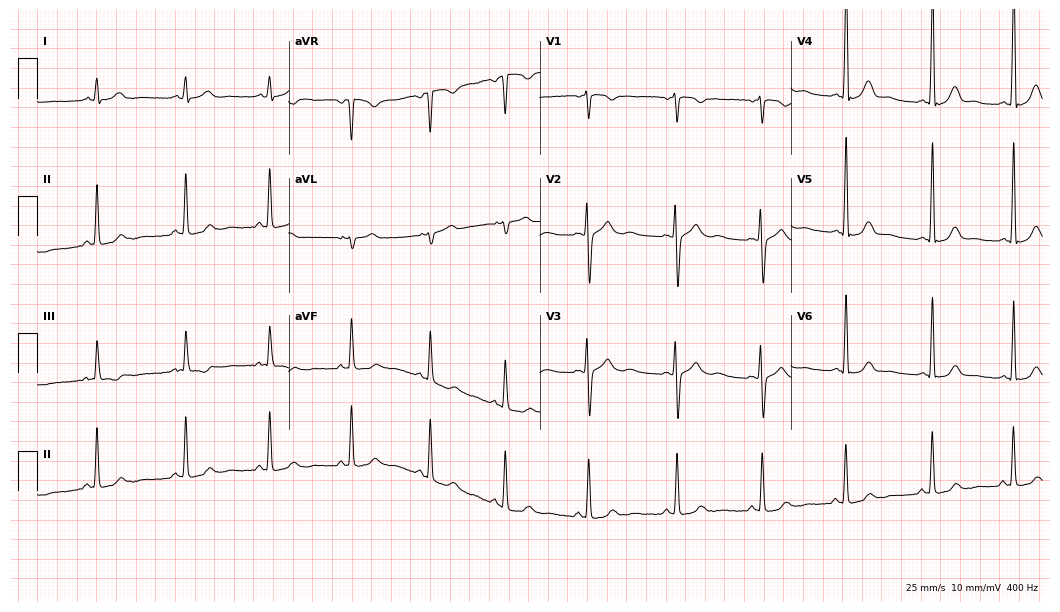
Resting 12-lead electrocardiogram (10.2-second recording at 400 Hz). Patient: a female, 30 years old. Read as a normal ECG.